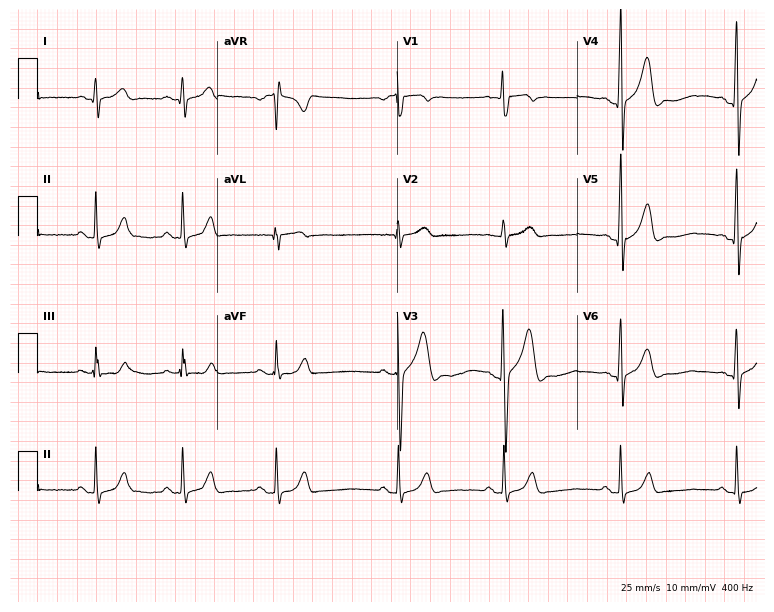
Standard 12-lead ECG recorded from a female patient, 37 years old. Read as a normal ECG.